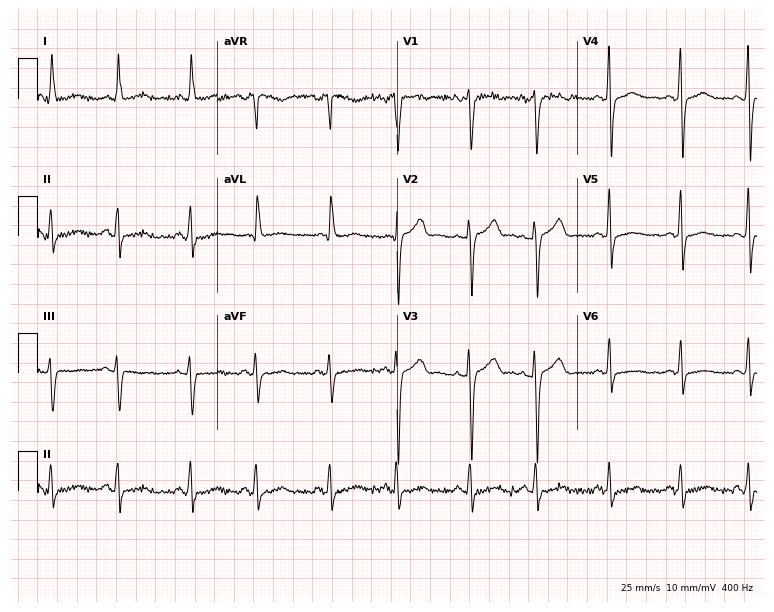
Resting 12-lead electrocardiogram. Patient: a 47-year-old female. Read as a normal ECG.